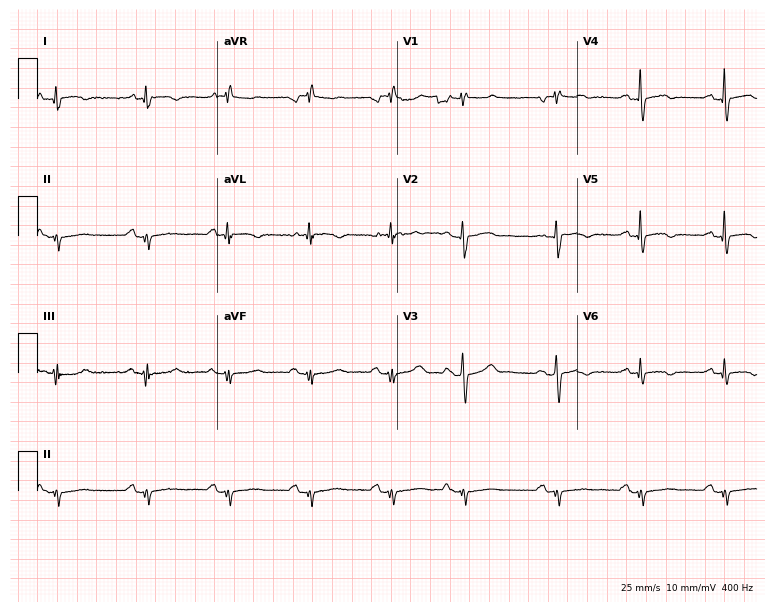
Standard 12-lead ECG recorded from a man, 59 years old. None of these six findings is recorded: first-degree AV block, right bundle branch block, left bundle branch block, sinus bradycardia, atrial fibrillation, sinus tachycardia. Other findings, if any, are not listed.